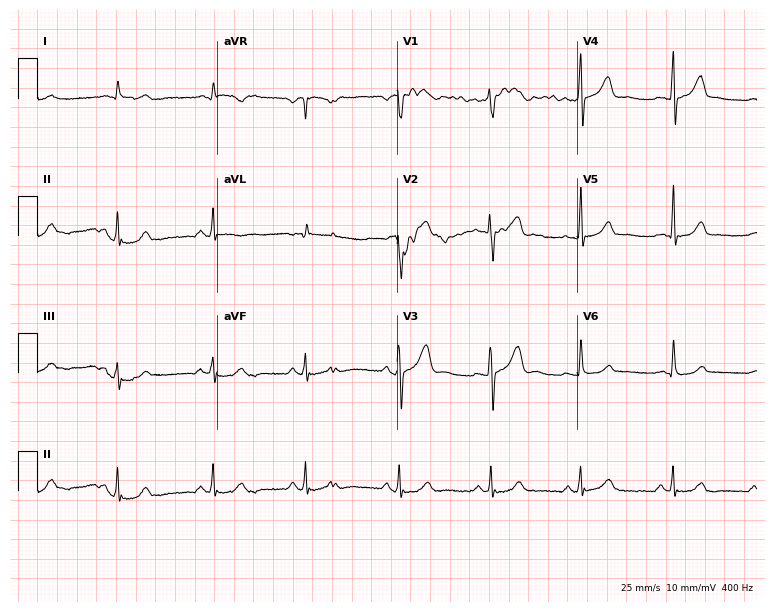
12-lead ECG (7.3-second recording at 400 Hz) from a male, 58 years old. Screened for six findings — first-degree AV block, right bundle branch block, left bundle branch block, sinus bradycardia, atrial fibrillation, sinus tachycardia — none is recorded.